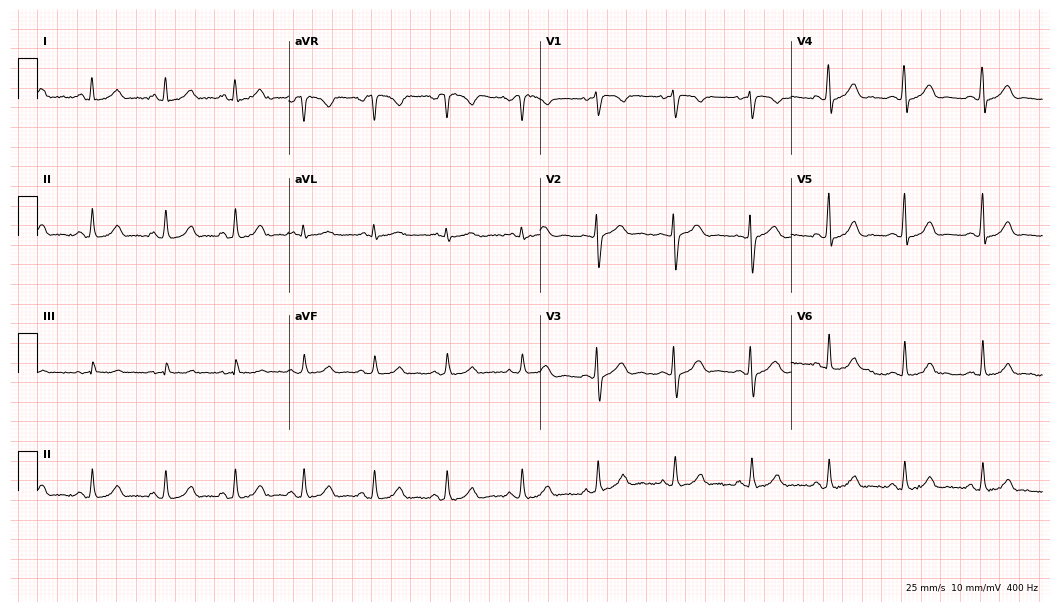
12-lead ECG from a female patient, 33 years old (10.2-second recording at 400 Hz). Recorded interpretation: within normal limits.